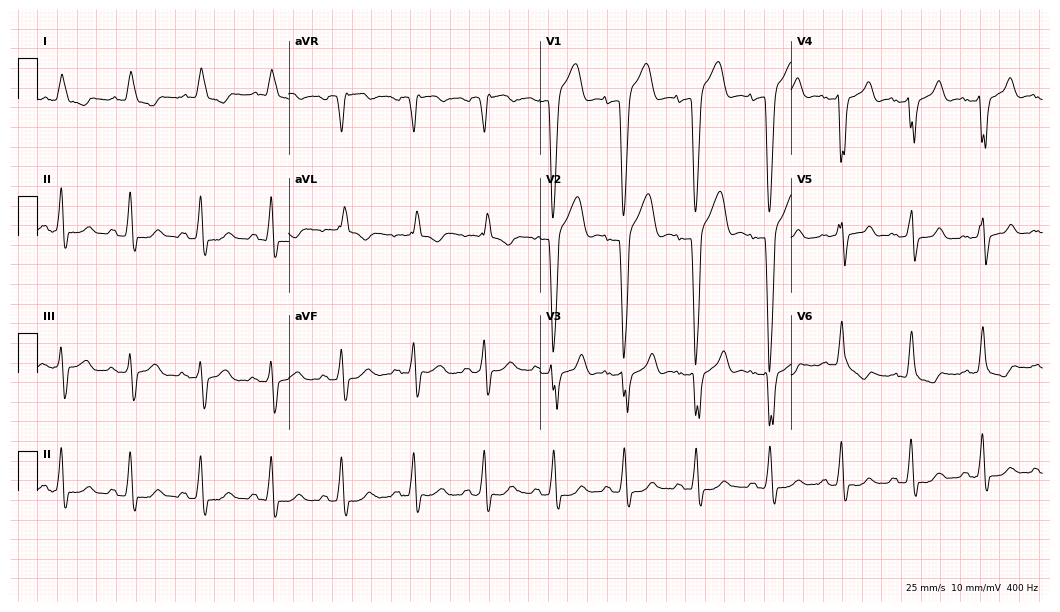
Standard 12-lead ECG recorded from a female patient, 85 years old (10.2-second recording at 400 Hz). The tracing shows left bundle branch block.